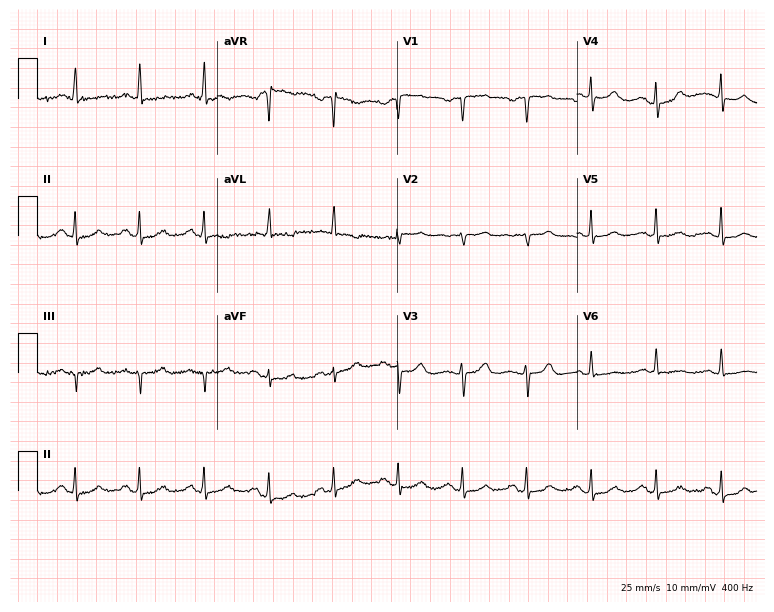
ECG (7.3-second recording at 400 Hz) — a 57-year-old woman. Screened for six findings — first-degree AV block, right bundle branch block (RBBB), left bundle branch block (LBBB), sinus bradycardia, atrial fibrillation (AF), sinus tachycardia — none is recorded.